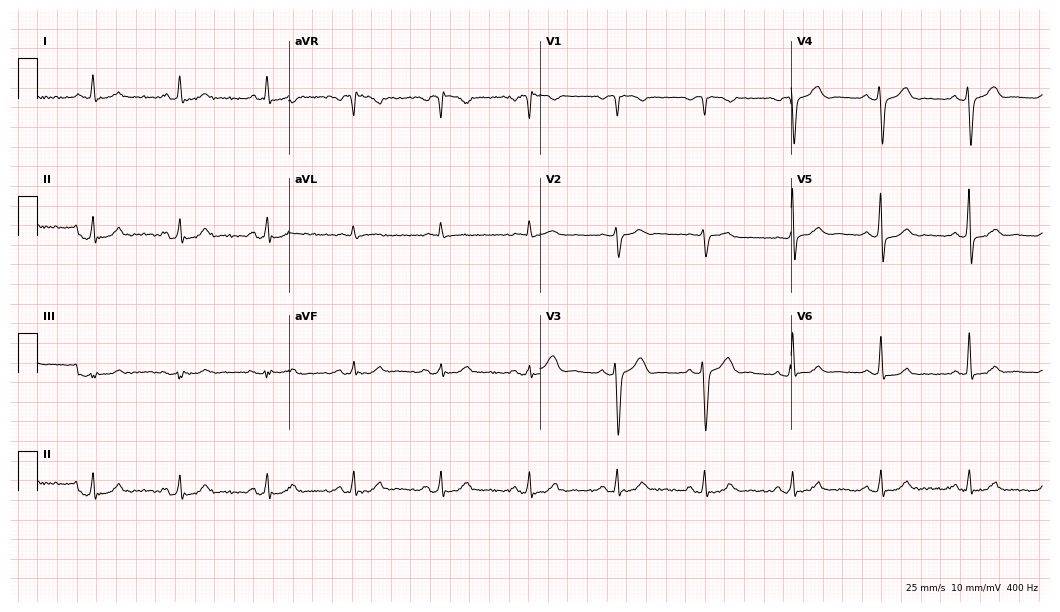
Resting 12-lead electrocardiogram. Patient: a male, 67 years old. Read as a normal ECG.